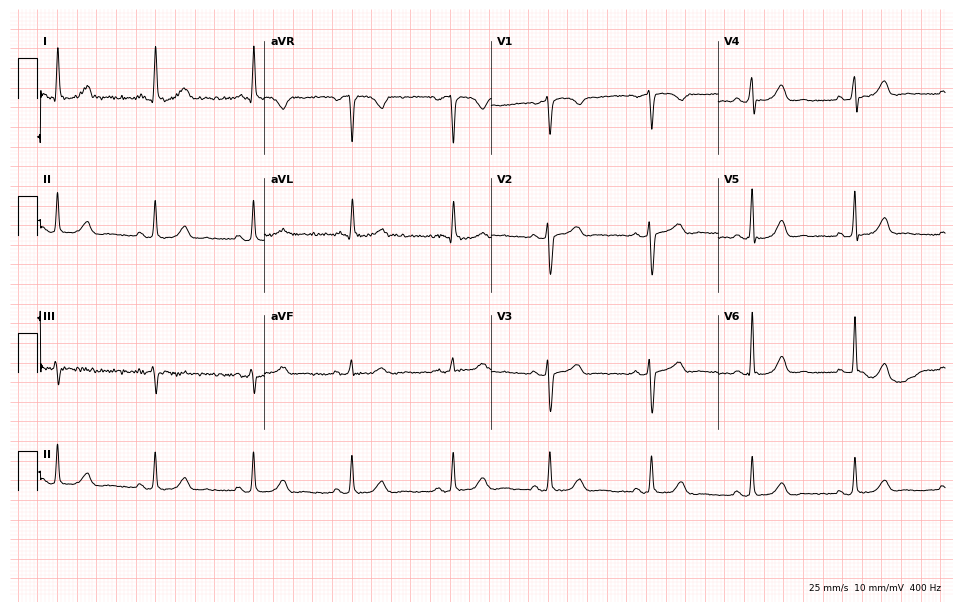
12-lead ECG (9.3-second recording at 400 Hz) from a female patient, 72 years old. Labelled as a normal ECG.